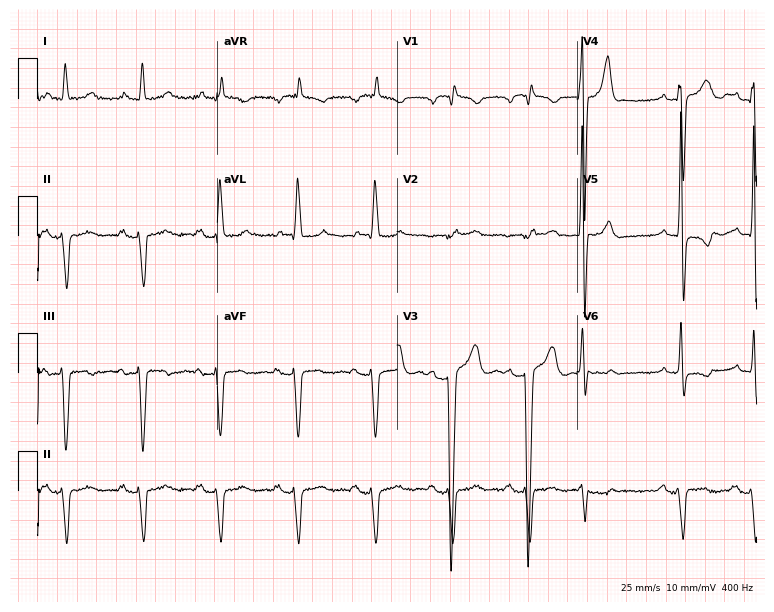
Resting 12-lead electrocardiogram (7.3-second recording at 400 Hz). Patient: a man, 63 years old. None of these six findings is recorded: first-degree AV block, right bundle branch block (RBBB), left bundle branch block (LBBB), sinus bradycardia, atrial fibrillation (AF), sinus tachycardia.